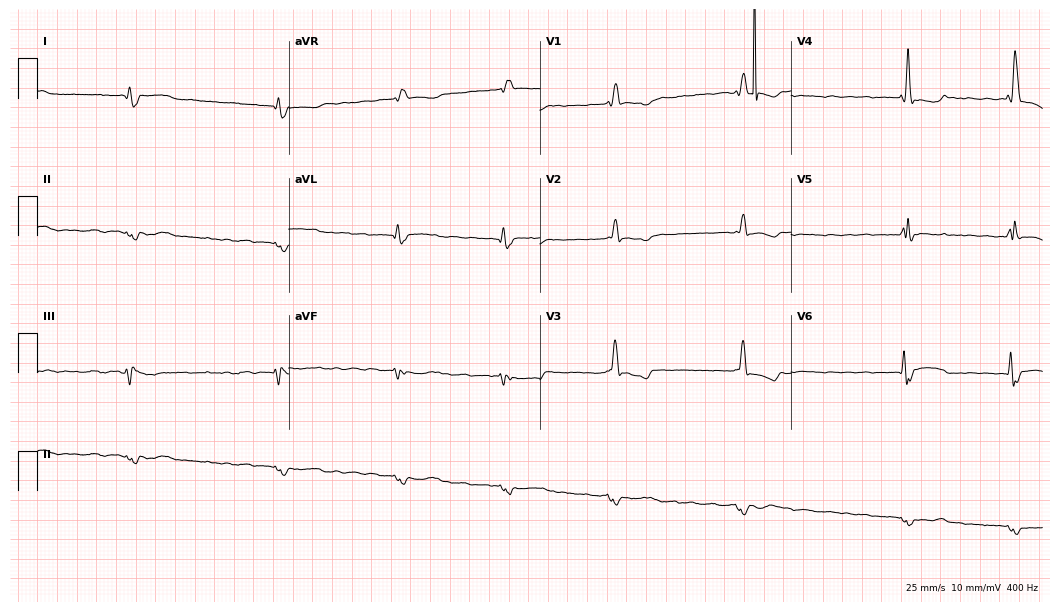
Resting 12-lead electrocardiogram (10.2-second recording at 400 Hz). Patient: an 83-year-old male. The tracing shows right bundle branch block, atrial fibrillation.